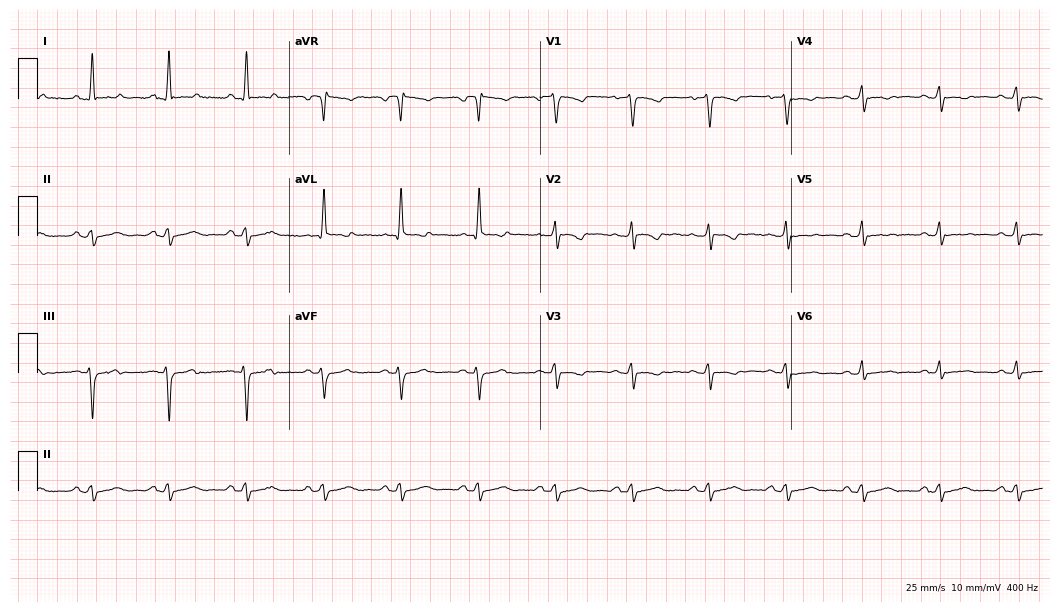
12-lead ECG from a female, 54 years old. No first-degree AV block, right bundle branch block, left bundle branch block, sinus bradycardia, atrial fibrillation or sinus tachycardia recorded for this tracing. Other findings, if any, are not listed.